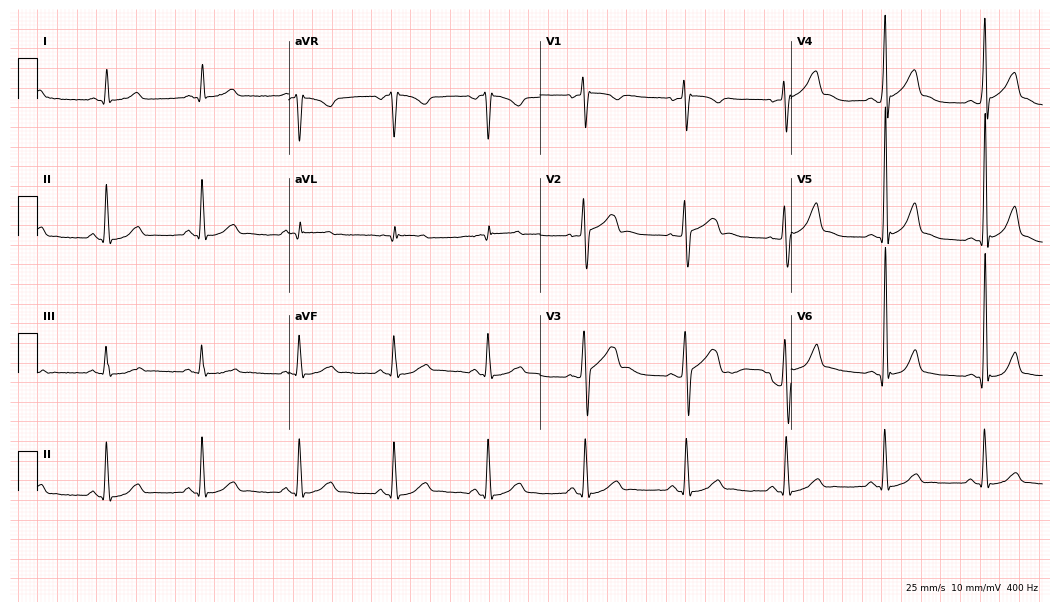
12-lead ECG from a 48-year-old male patient. Labelled as a normal ECG.